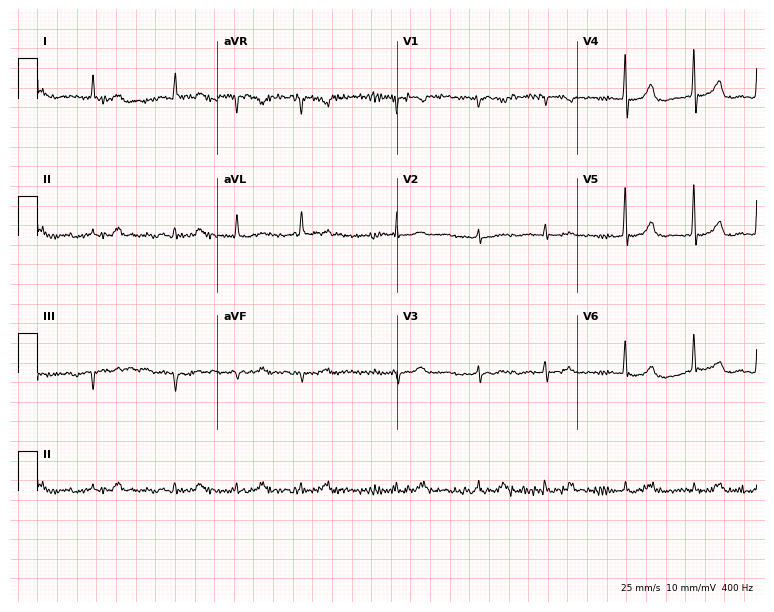
Electrocardiogram (7.3-second recording at 400 Hz), an 80-year-old woman. Of the six screened findings (first-degree AV block, right bundle branch block, left bundle branch block, sinus bradycardia, atrial fibrillation, sinus tachycardia), none is recorded.